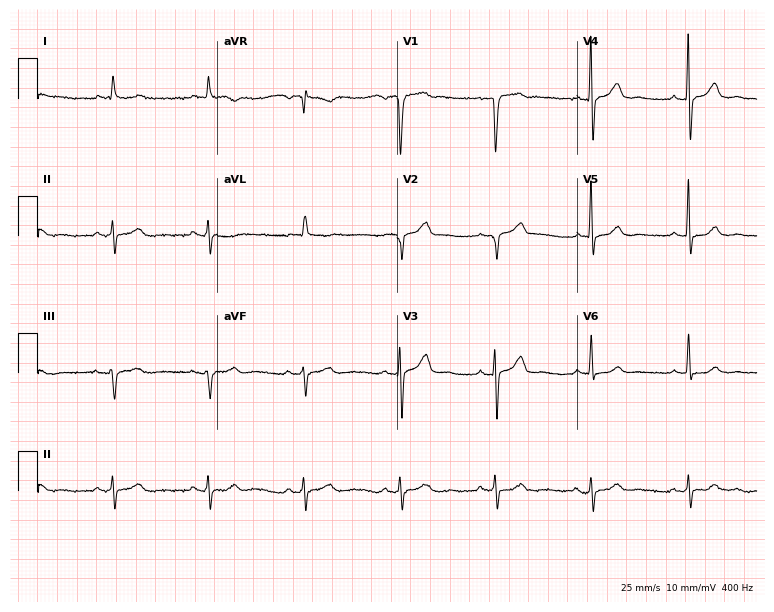
Standard 12-lead ECG recorded from a 73-year-old male patient. None of these six findings is recorded: first-degree AV block, right bundle branch block (RBBB), left bundle branch block (LBBB), sinus bradycardia, atrial fibrillation (AF), sinus tachycardia.